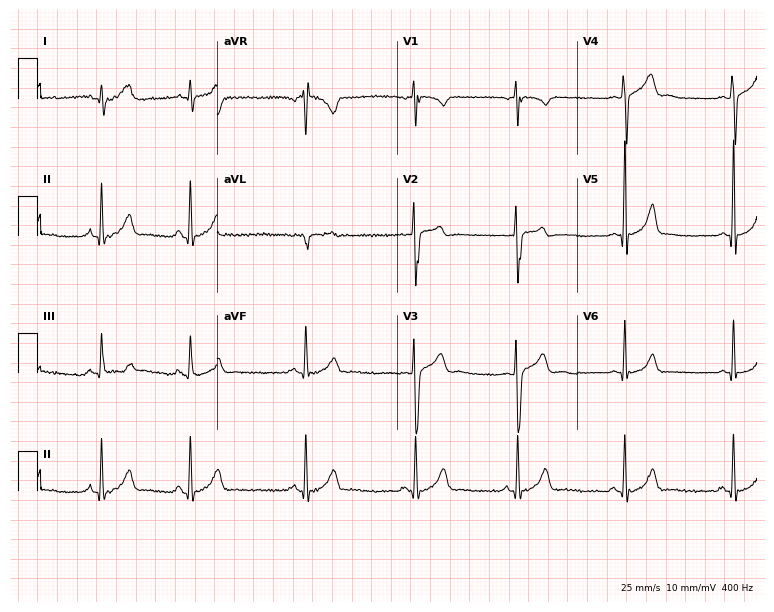
ECG (7.3-second recording at 400 Hz) — a male, 17 years old. Screened for six findings — first-degree AV block, right bundle branch block (RBBB), left bundle branch block (LBBB), sinus bradycardia, atrial fibrillation (AF), sinus tachycardia — none is recorded.